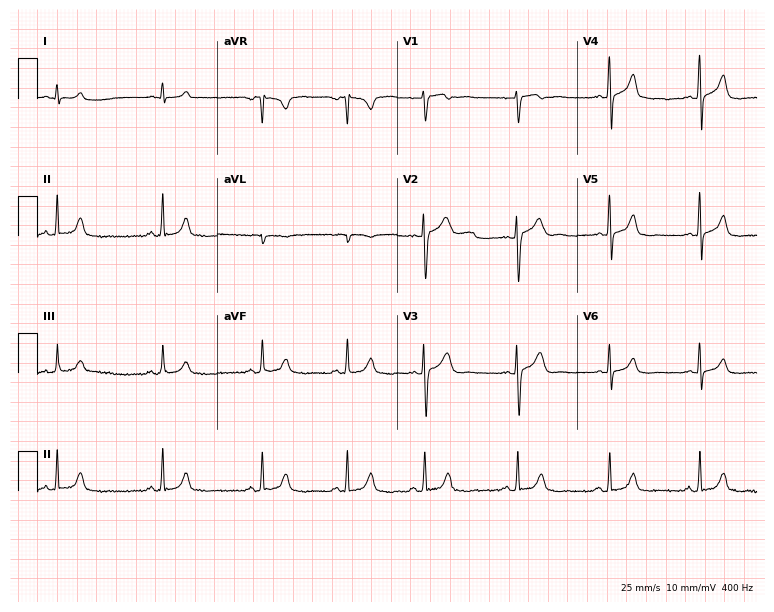
Standard 12-lead ECG recorded from a 34-year-old female patient. None of these six findings is recorded: first-degree AV block, right bundle branch block (RBBB), left bundle branch block (LBBB), sinus bradycardia, atrial fibrillation (AF), sinus tachycardia. Only these six findings were labelled.